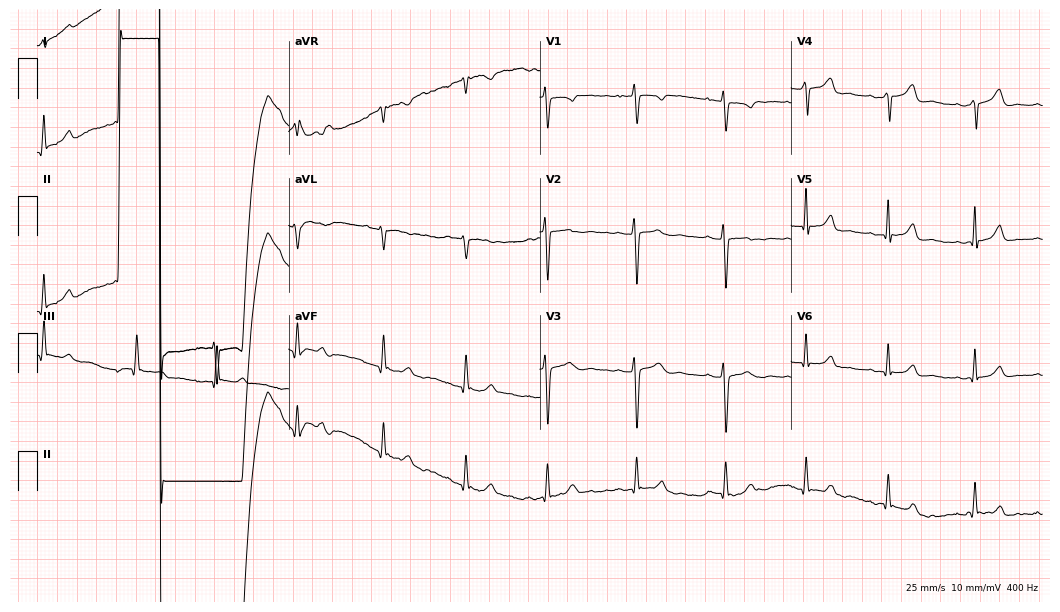
12-lead ECG from a female, 20 years old. Recorded interpretation: within normal limits.